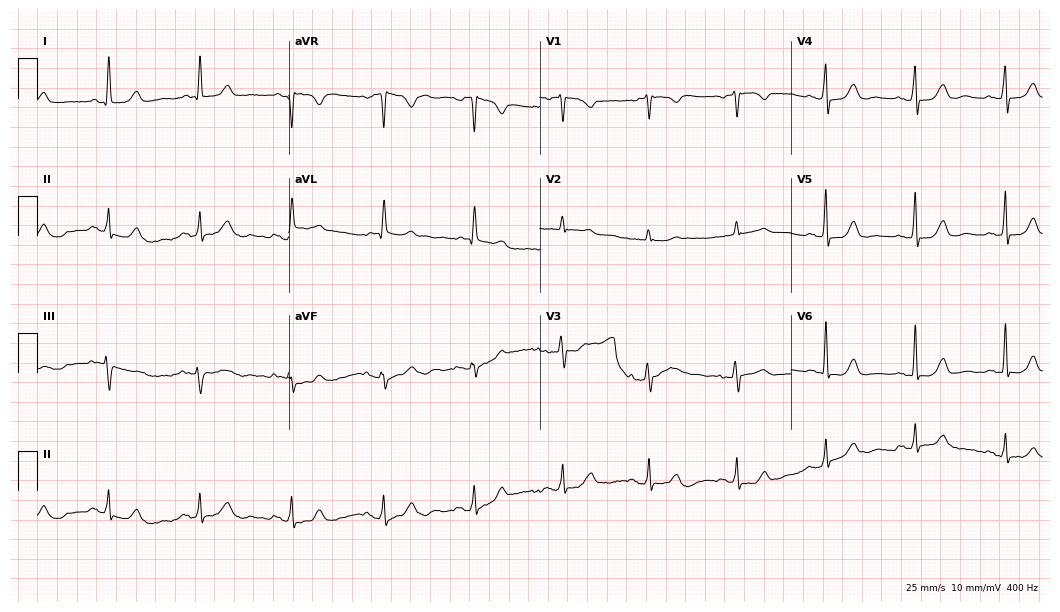
Electrocardiogram, an 87-year-old female. Overall reading on record: normal ECG.